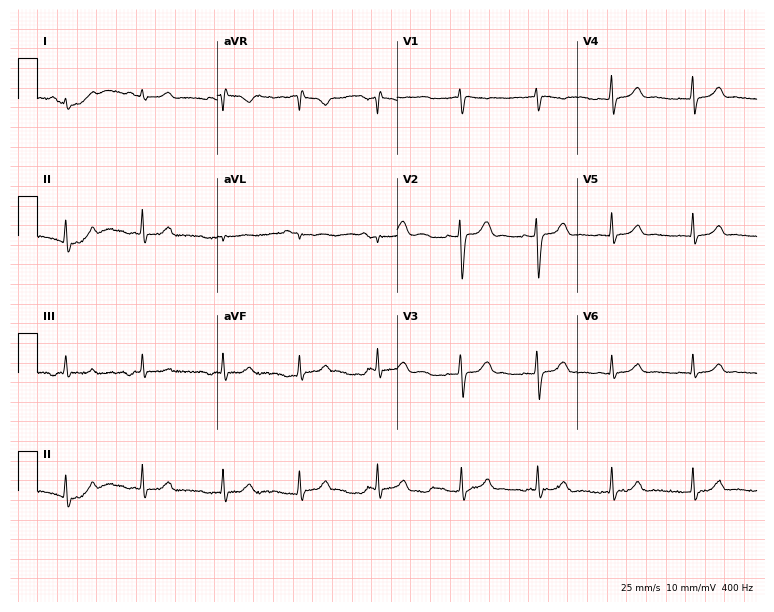
ECG — a 23-year-old female patient. Screened for six findings — first-degree AV block, right bundle branch block, left bundle branch block, sinus bradycardia, atrial fibrillation, sinus tachycardia — none is recorded.